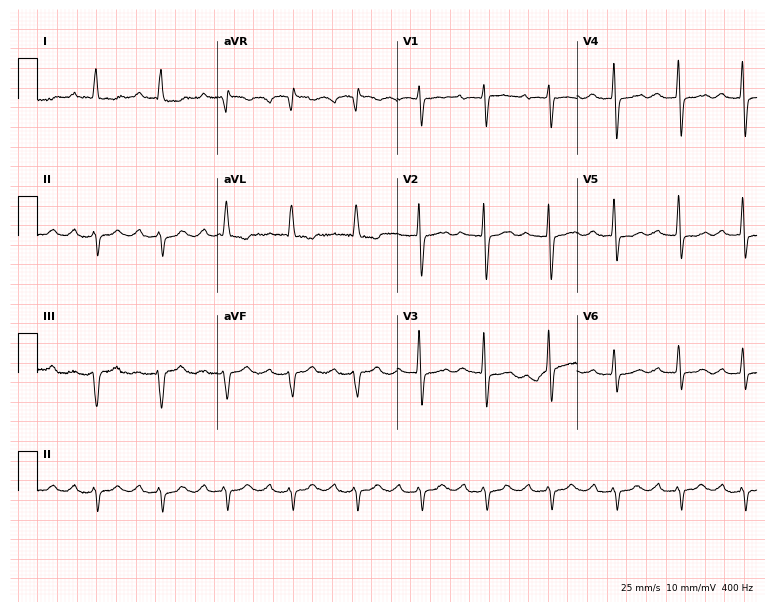
ECG (7.3-second recording at 400 Hz) — a 77-year-old female. Findings include first-degree AV block.